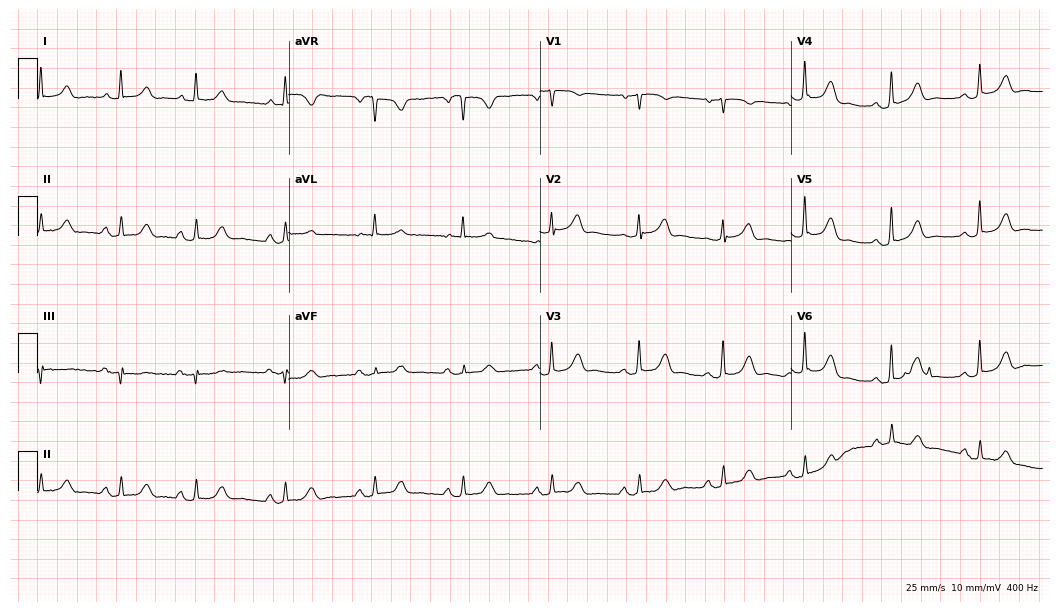
Resting 12-lead electrocardiogram. Patient: a female, 61 years old. None of these six findings is recorded: first-degree AV block, right bundle branch block (RBBB), left bundle branch block (LBBB), sinus bradycardia, atrial fibrillation (AF), sinus tachycardia. Only these six findings were labelled.